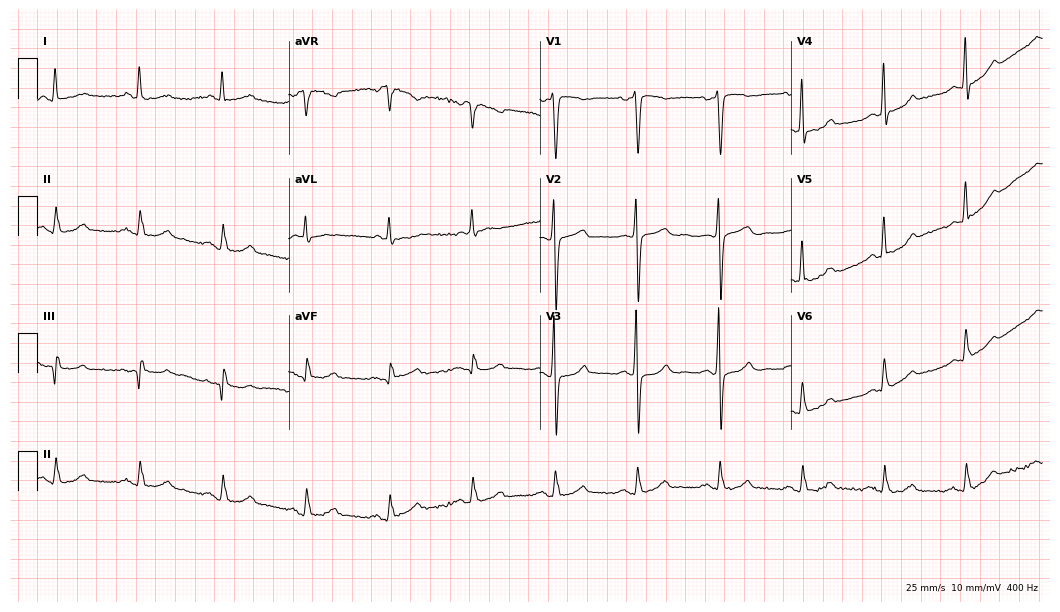
ECG — a male patient, 68 years old. Labelled as a normal ECG.